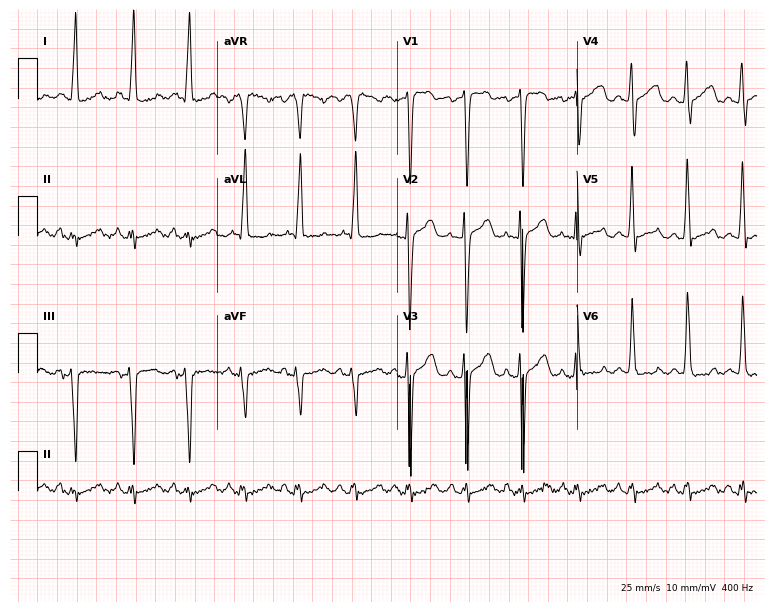
Electrocardiogram, a female patient, 57 years old. Of the six screened findings (first-degree AV block, right bundle branch block, left bundle branch block, sinus bradycardia, atrial fibrillation, sinus tachycardia), none is recorded.